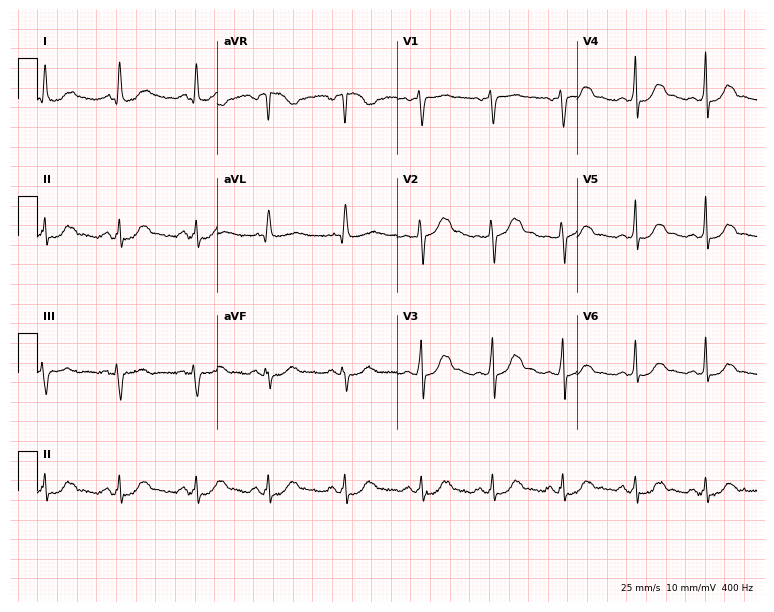
Standard 12-lead ECG recorded from a female, 44 years old (7.3-second recording at 400 Hz). None of these six findings is recorded: first-degree AV block, right bundle branch block, left bundle branch block, sinus bradycardia, atrial fibrillation, sinus tachycardia.